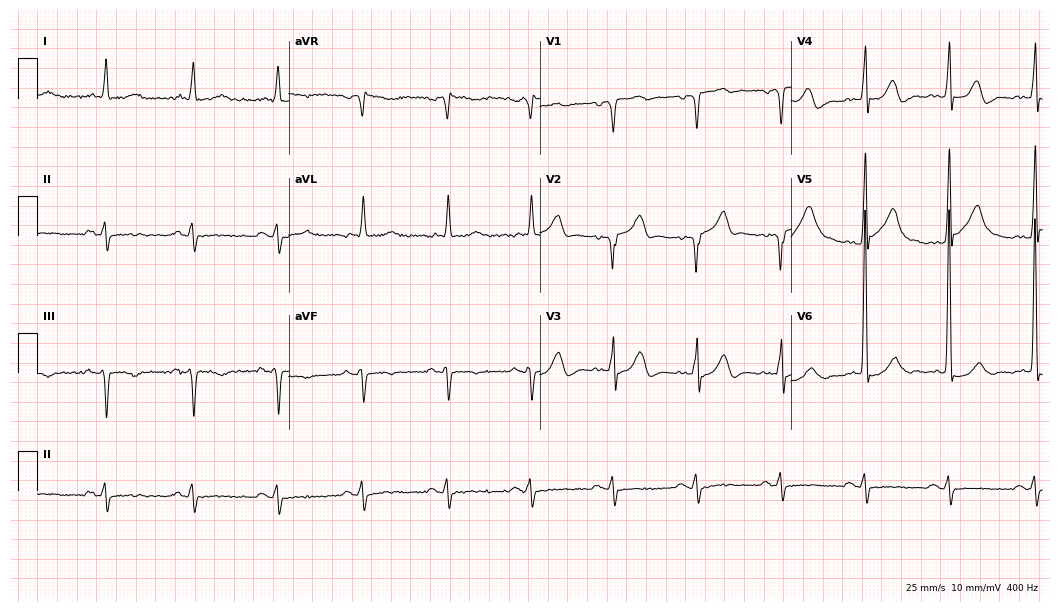
12-lead ECG (10.2-second recording at 400 Hz) from a man, 83 years old. Screened for six findings — first-degree AV block, right bundle branch block, left bundle branch block, sinus bradycardia, atrial fibrillation, sinus tachycardia — none is recorded. Only these six findings were labelled.